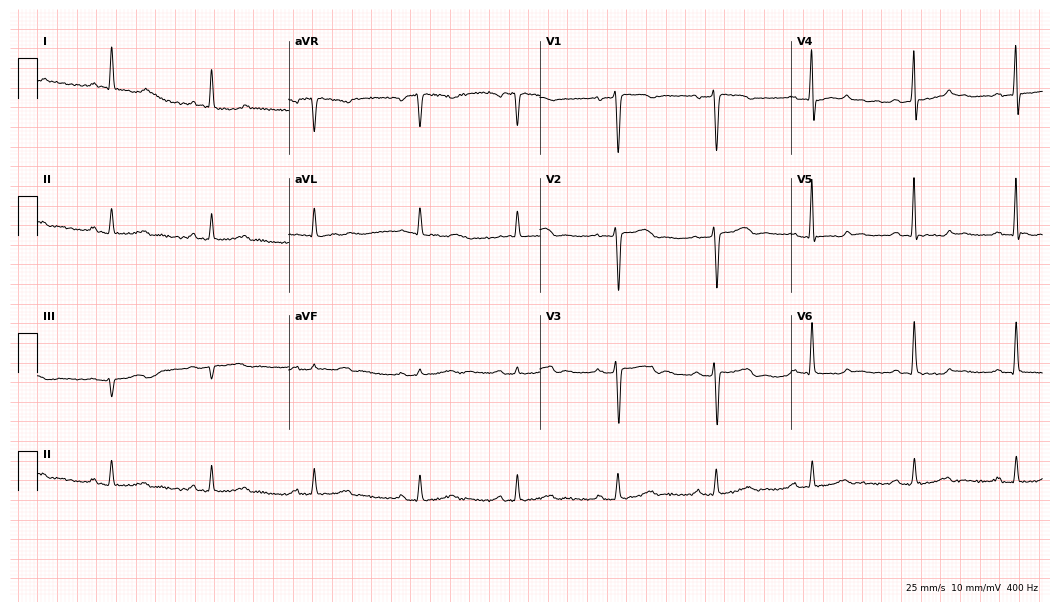
Resting 12-lead electrocardiogram (10.2-second recording at 400 Hz). Patient: a 46-year-old woman. None of these six findings is recorded: first-degree AV block, right bundle branch block (RBBB), left bundle branch block (LBBB), sinus bradycardia, atrial fibrillation (AF), sinus tachycardia.